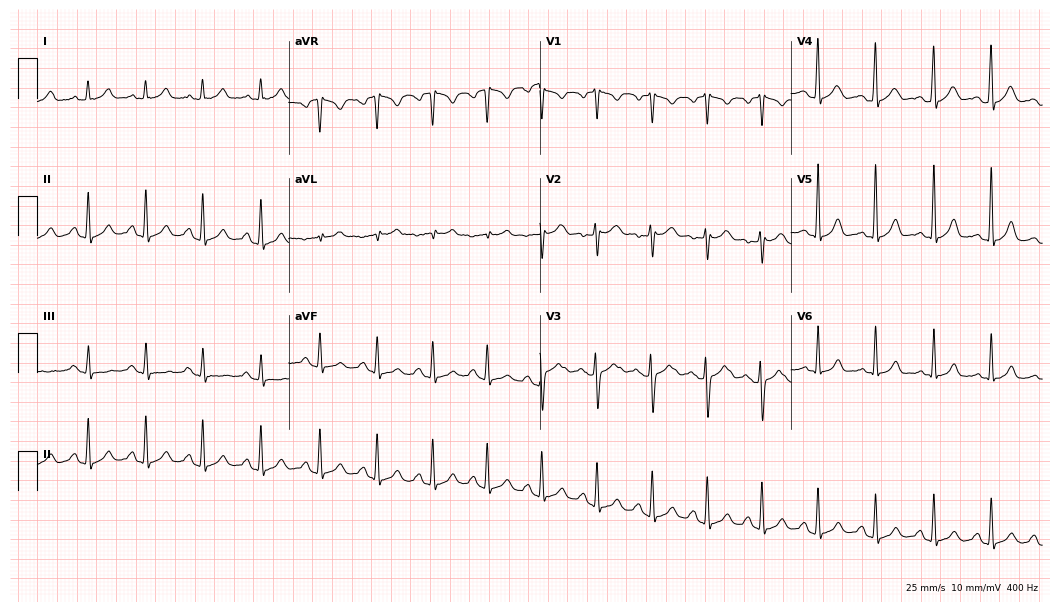
12-lead ECG from a woman, 23 years old (10.2-second recording at 400 Hz). Shows sinus tachycardia (a sinus rate of 100 beats per minute or more).